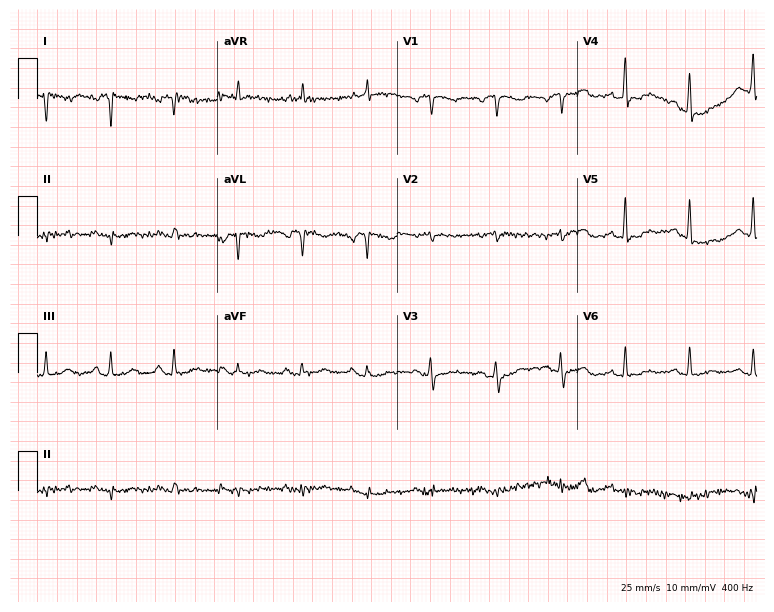
Electrocardiogram, a female, 57 years old. Of the six screened findings (first-degree AV block, right bundle branch block (RBBB), left bundle branch block (LBBB), sinus bradycardia, atrial fibrillation (AF), sinus tachycardia), none is recorded. Other findings, if any, are not listed.